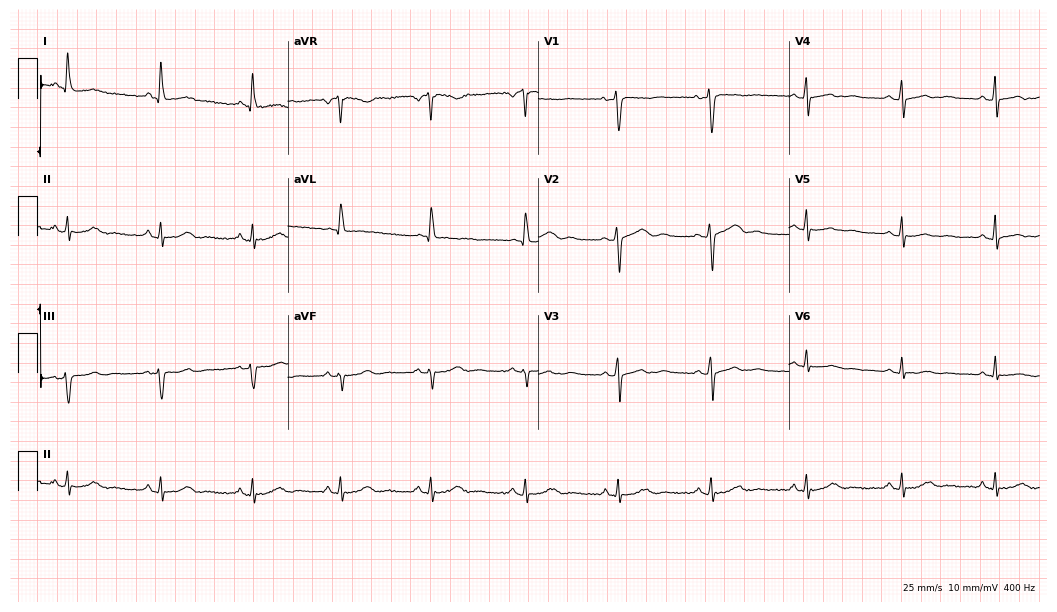
Electrocardiogram (10.2-second recording at 400 Hz), a woman, 49 years old. Of the six screened findings (first-degree AV block, right bundle branch block (RBBB), left bundle branch block (LBBB), sinus bradycardia, atrial fibrillation (AF), sinus tachycardia), none is recorded. Only these six findings were labelled.